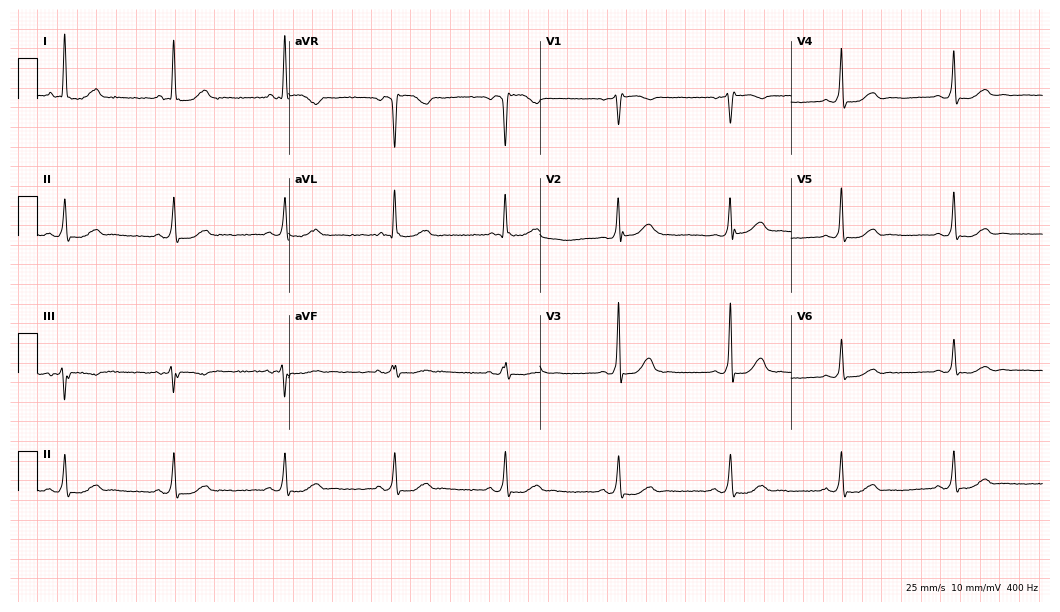
12-lead ECG from a 67-year-old female. Findings include right bundle branch block.